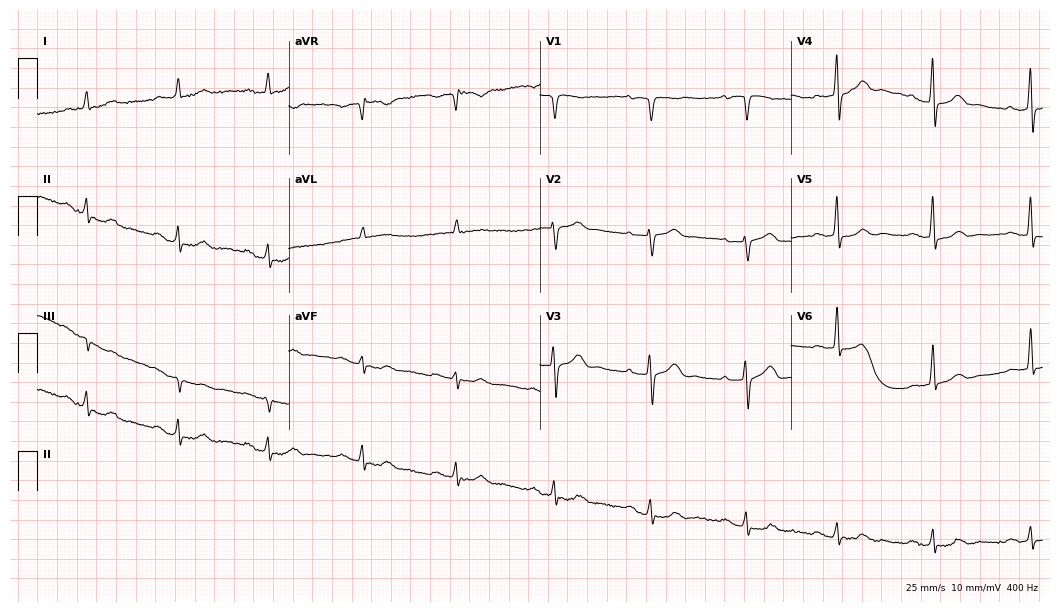
ECG (10.2-second recording at 400 Hz) — an 82-year-old man. Labelled as a normal ECG.